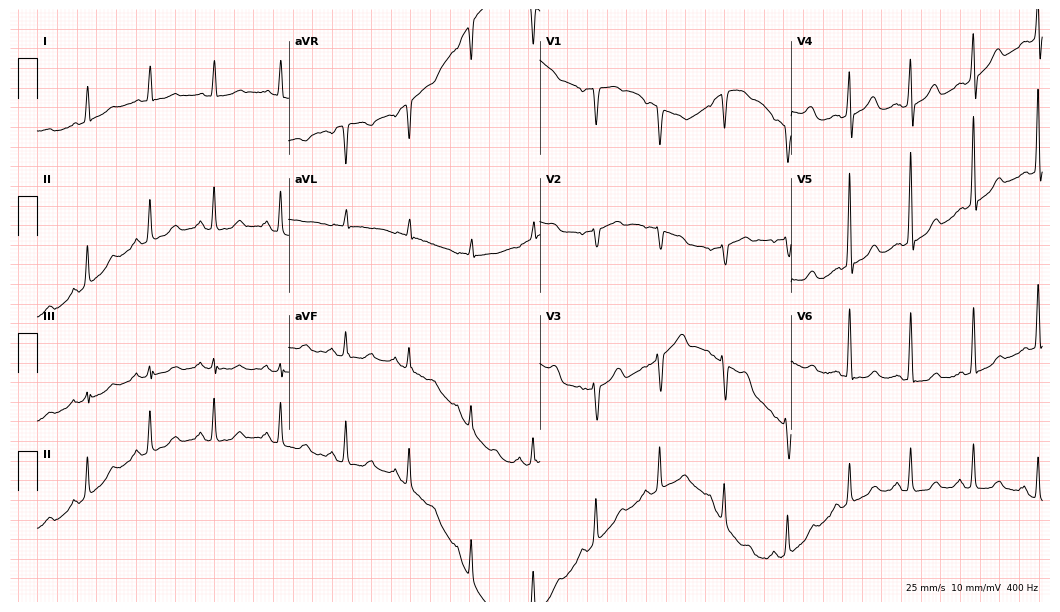
Resting 12-lead electrocardiogram (10.2-second recording at 400 Hz). Patient: a woman, 53 years old. None of these six findings is recorded: first-degree AV block, right bundle branch block, left bundle branch block, sinus bradycardia, atrial fibrillation, sinus tachycardia. Other findings, if any, are not listed.